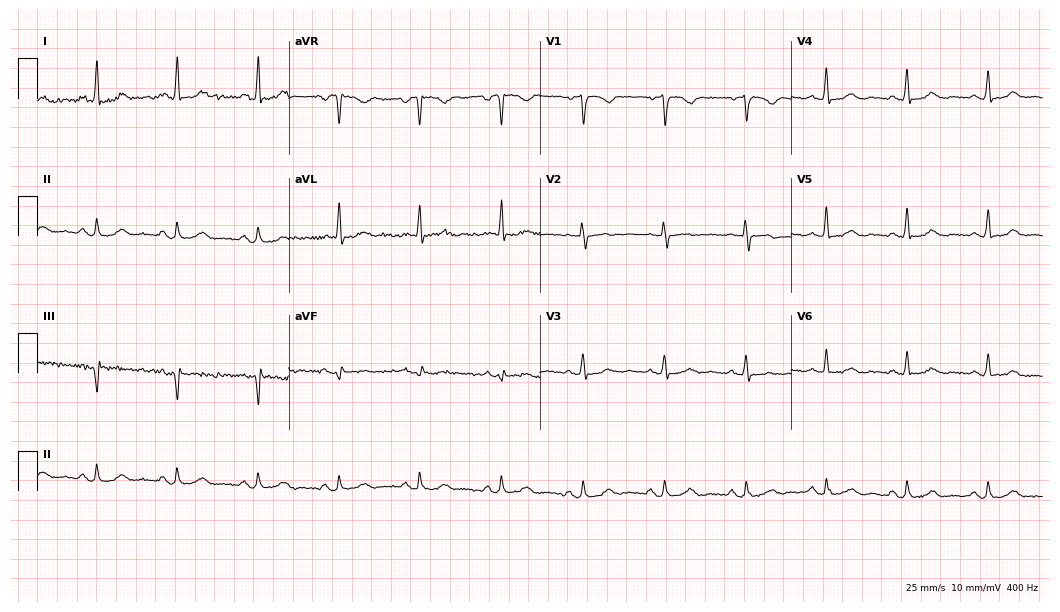
12-lead ECG from a 73-year-old female patient. Labelled as a normal ECG.